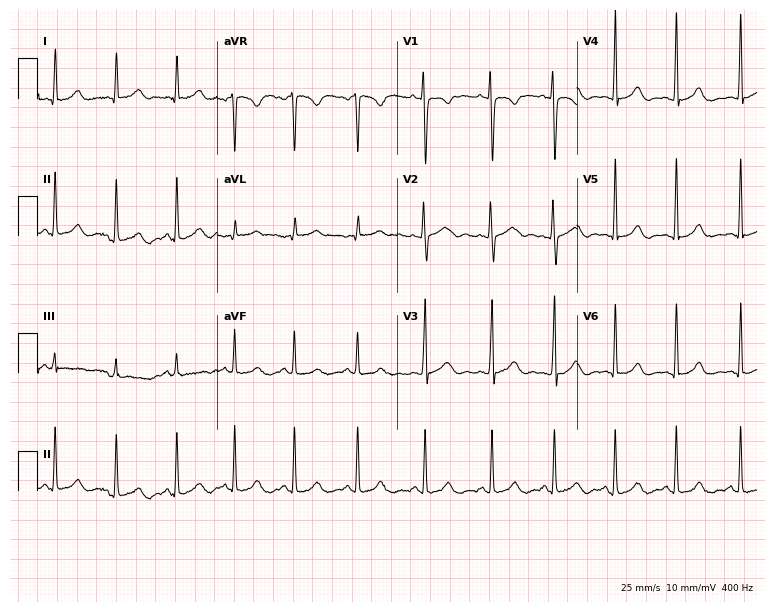
Resting 12-lead electrocardiogram (7.3-second recording at 400 Hz). Patient: a female, 21 years old. None of these six findings is recorded: first-degree AV block, right bundle branch block, left bundle branch block, sinus bradycardia, atrial fibrillation, sinus tachycardia. Only these six findings were labelled.